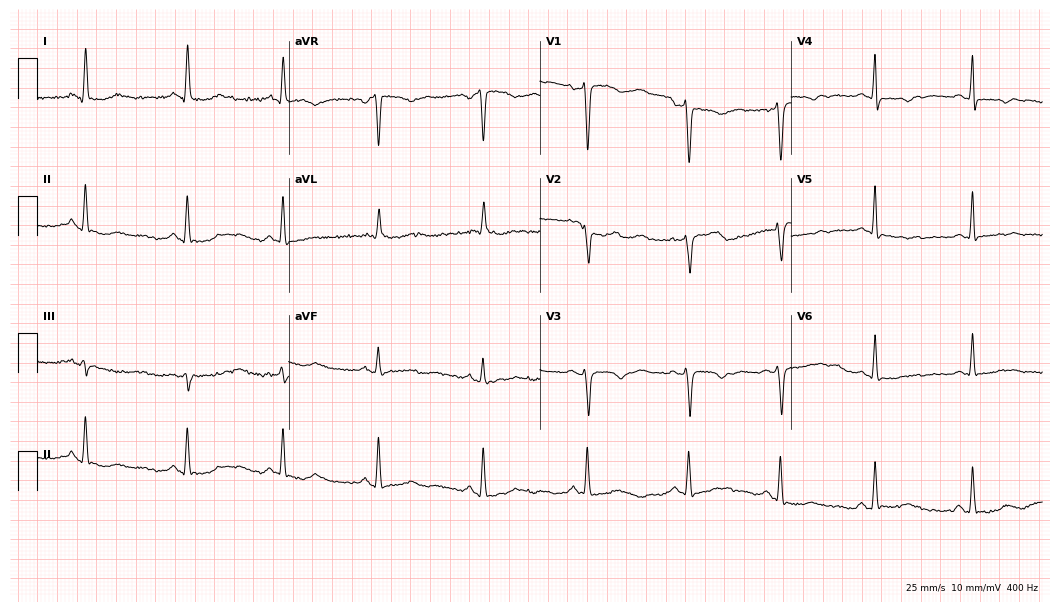
Electrocardiogram, a female patient, 53 years old. Of the six screened findings (first-degree AV block, right bundle branch block (RBBB), left bundle branch block (LBBB), sinus bradycardia, atrial fibrillation (AF), sinus tachycardia), none is recorded.